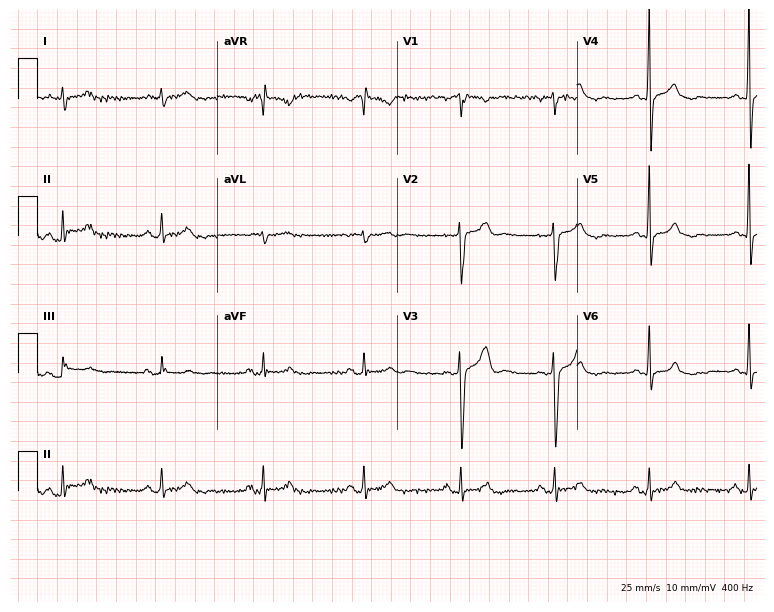
Standard 12-lead ECG recorded from a 50-year-old man (7.3-second recording at 400 Hz). Read as a normal ECG.